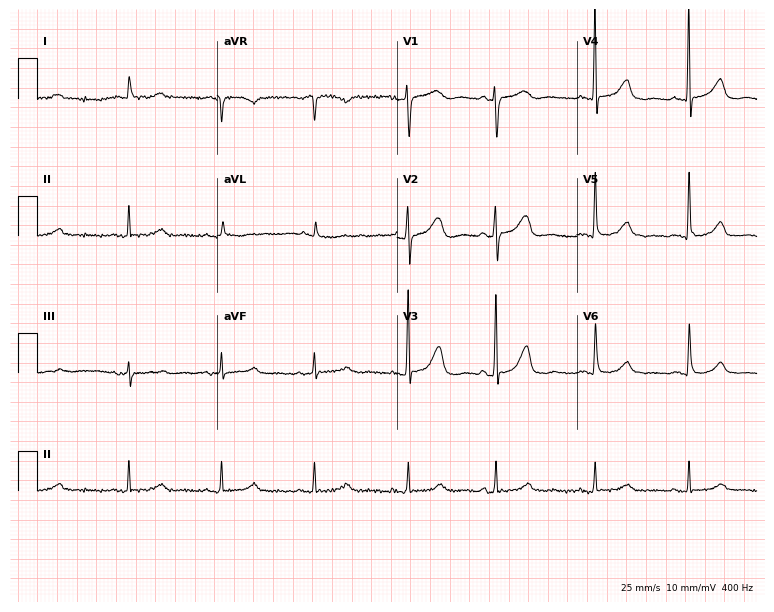
12-lead ECG from a woman, 83 years old. Recorded interpretation: within normal limits.